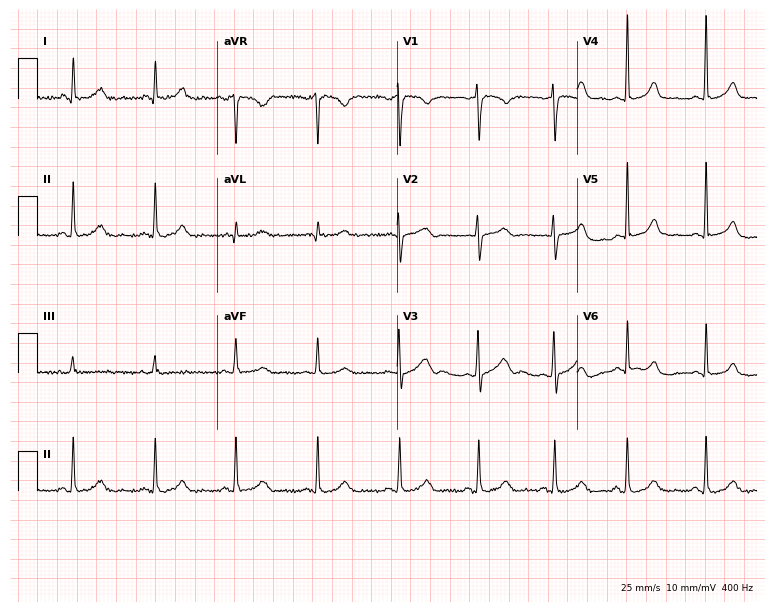
12-lead ECG from a female, 39 years old. Screened for six findings — first-degree AV block, right bundle branch block (RBBB), left bundle branch block (LBBB), sinus bradycardia, atrial fibrillation (AF), sinus tachycardia — none is recorded. Other findings, if any, are not listed.